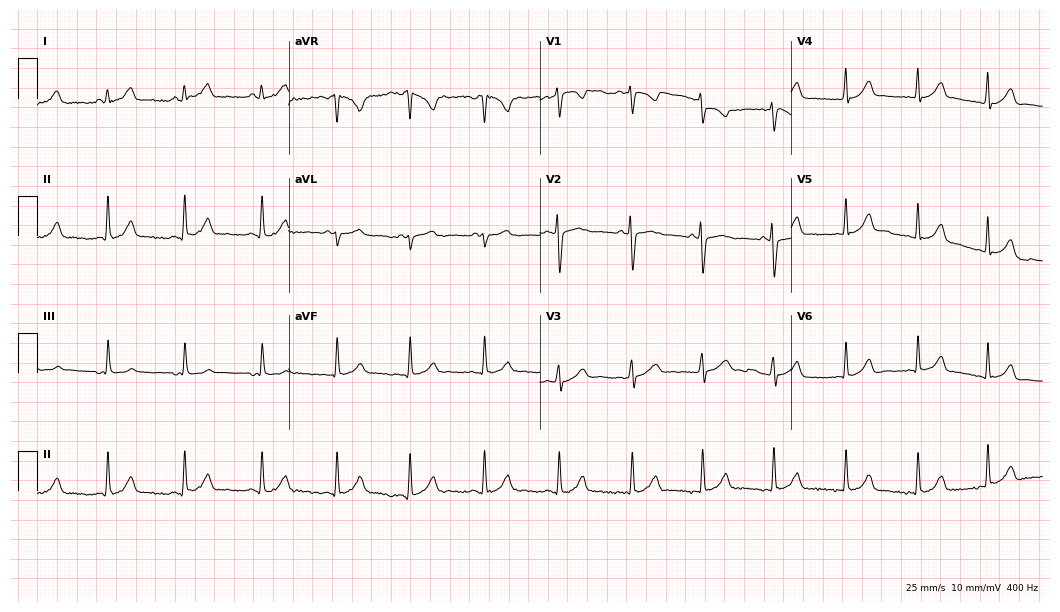
12-lead ECG from a 31-year-old female (10.2-second recording at 400 Hz). Recorded interpretation: within normal limits.